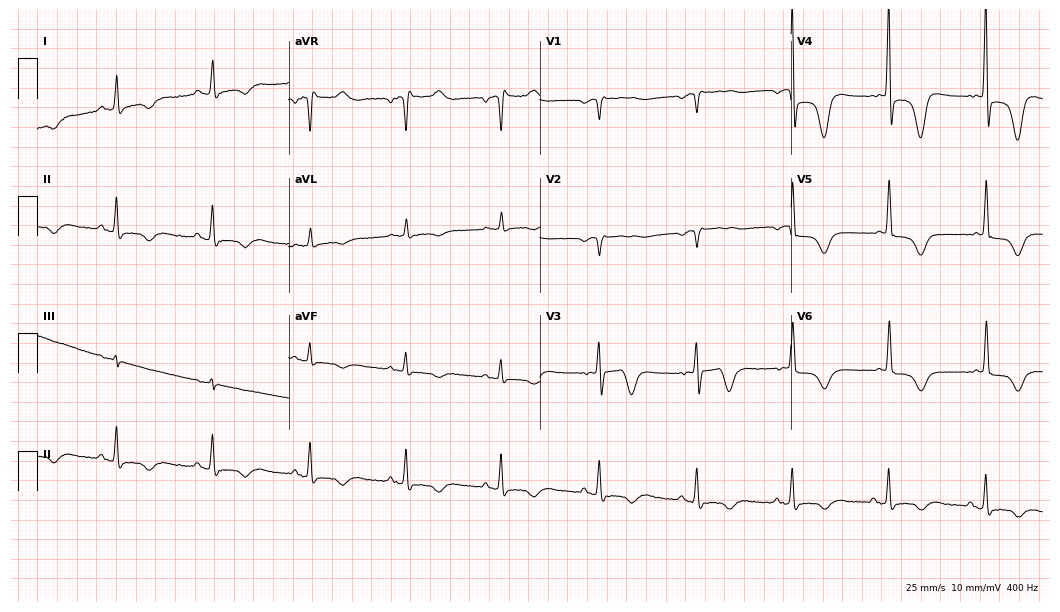
12-lead ECG (10.2-second recording at 400 Hz) from an 81-year-old male. Screened for six findings — first-degree AV block, right bundle branch block (RBBB), left bundle branch block (LBBB), sinus bradycardia, atrial fibrillation (AF), sinus tachycardia — none is recorded. Other findings, if any, are not listed.